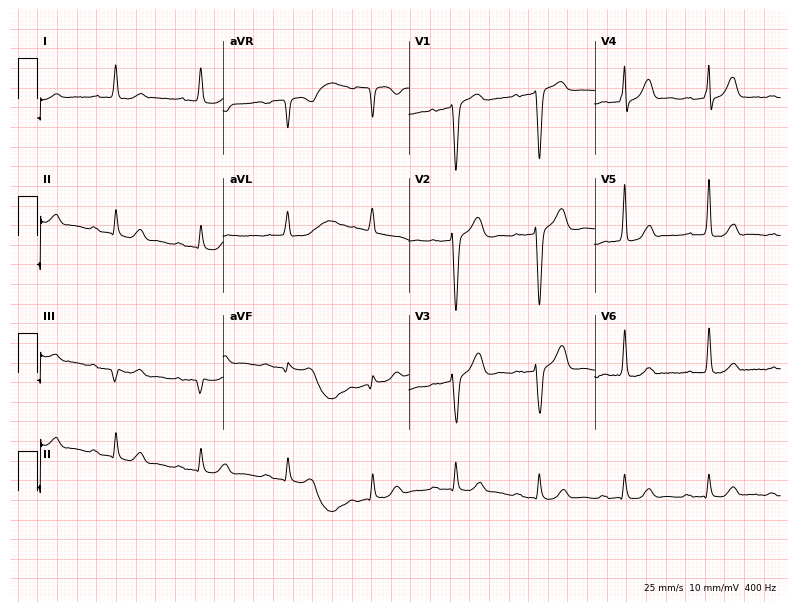
12-lead ECG (7.6-second recording at 400 Hz) from a 77-year-old male patient. Screened for six findings — first-degree AV block, right bundle branch block, left bundle branch block, sinus bradycardia, atrial fibrillation, sinus tachycardia — none is recorded.